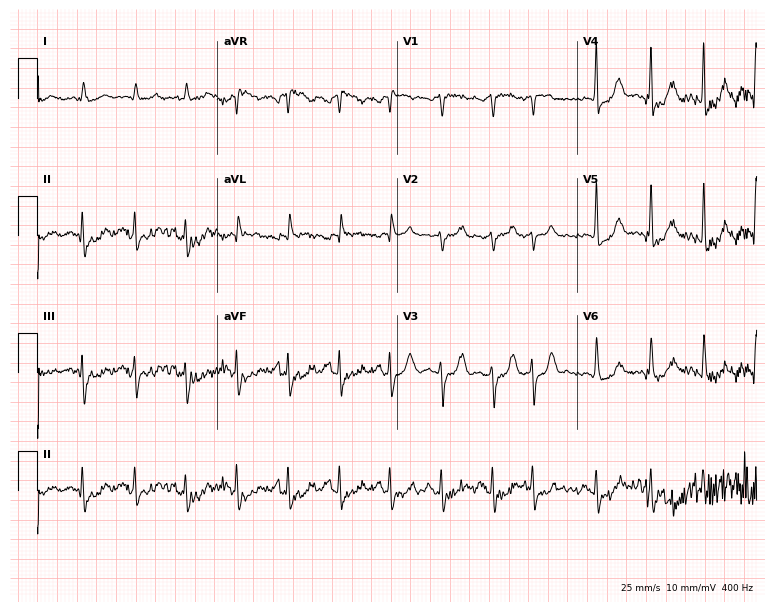
ECG — a female, 75 years old. Screened for six findings — first-degree AV block, right bundle branch block (RBBB), left bundle branch block (LBBB), sinus bradycardia, atrial fibrillation (AF), sinus tachycardia — none is recorded.